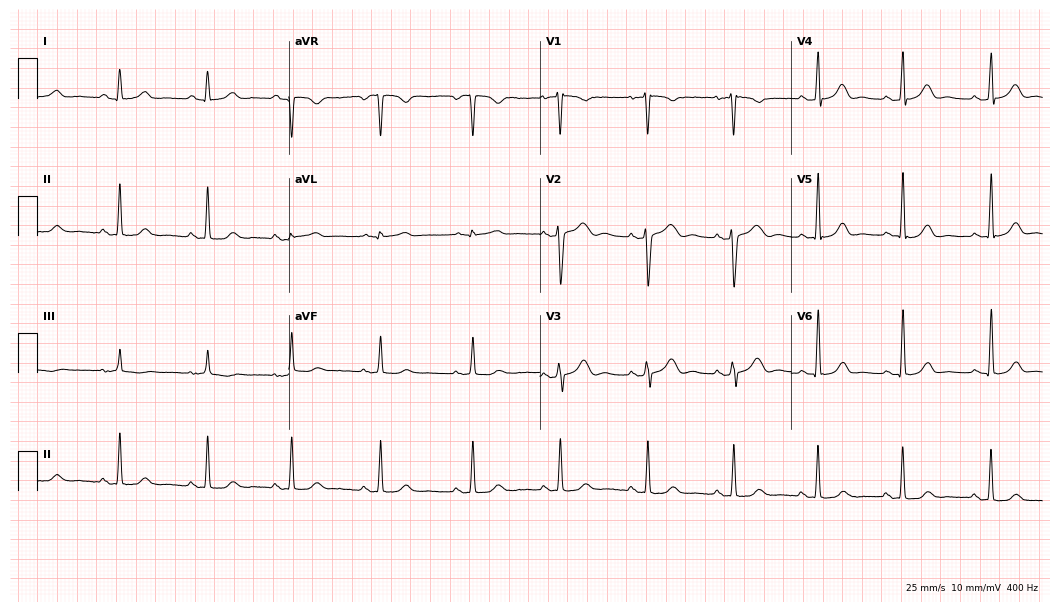
Standard 12-lead ECG recorded from a 30-year-old female. None of these six findings is recorded: first-degree AV block, right bundle branch block (RBBB), left bundle branch block (LBBB), sinus bradycardia, atrial fibrillation (AF), sinus tachycardia.